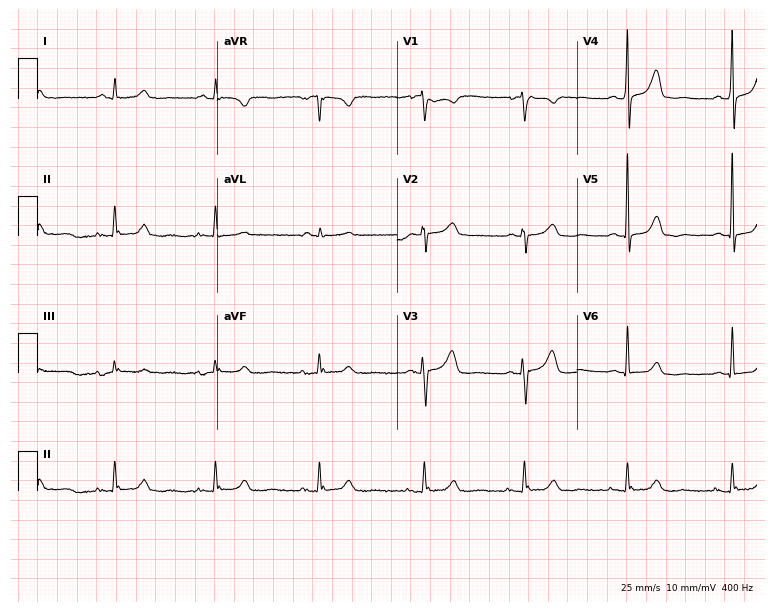
Resting 12-lead electrocardiogram. Patient: a woman, 63 years old. Read as a normal ECG.